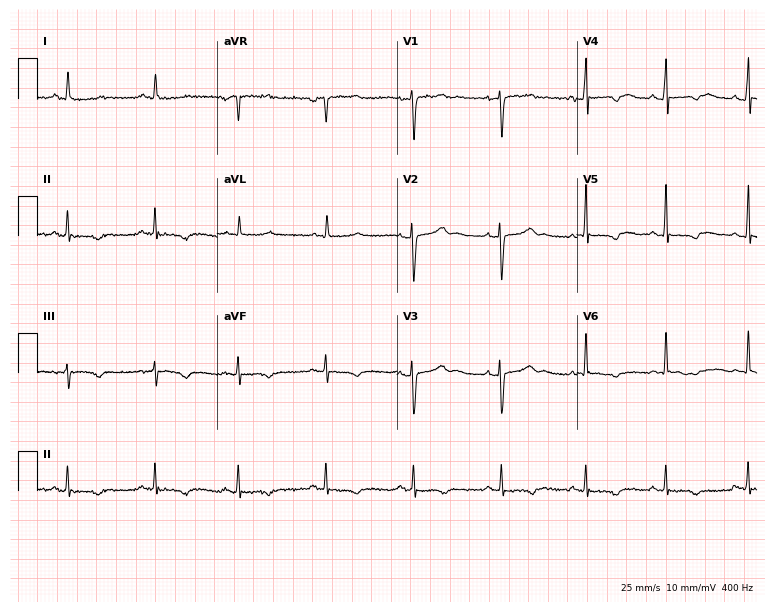
Electrocardiogram, a 30-year-old female patient. Overall reading on record: normal ECG.